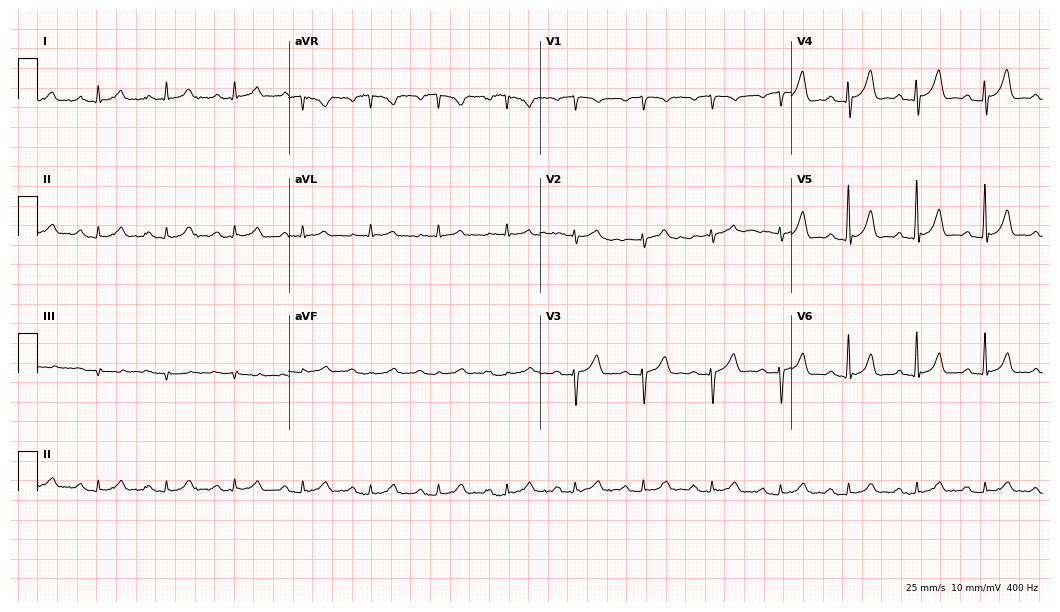
12-lead ECG from a man, 72 years old. Labelled as a normal ECG.